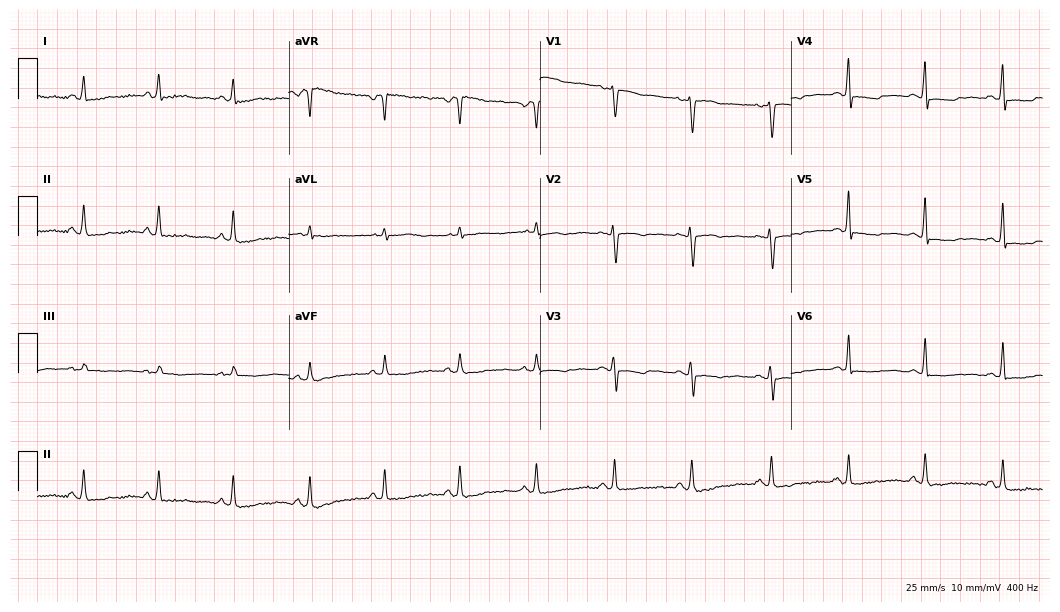
ECG — a 39-year-old female. Screened for six findings — first-degree AV block, right bundle branch block, left bundle branch block, sinus bradycardia, atrial fibrillation, sinus tachycardia — none is recorded. Findings outside these six are not listed.